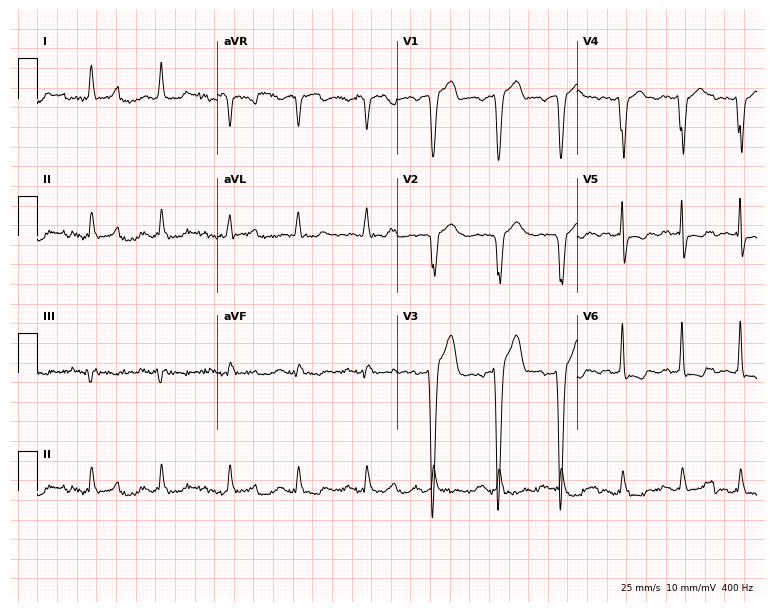
12-lead ECG (7.3-second recording at 400 Hz) from a 54-year-old male patient. Screened for six findings — first-degree AV block, right bundle branch block, left bundle branch block, sinus bradycardia, atrial fibrillation, sinus tachycardia — none is recorded. Findings outside these six are not listed.